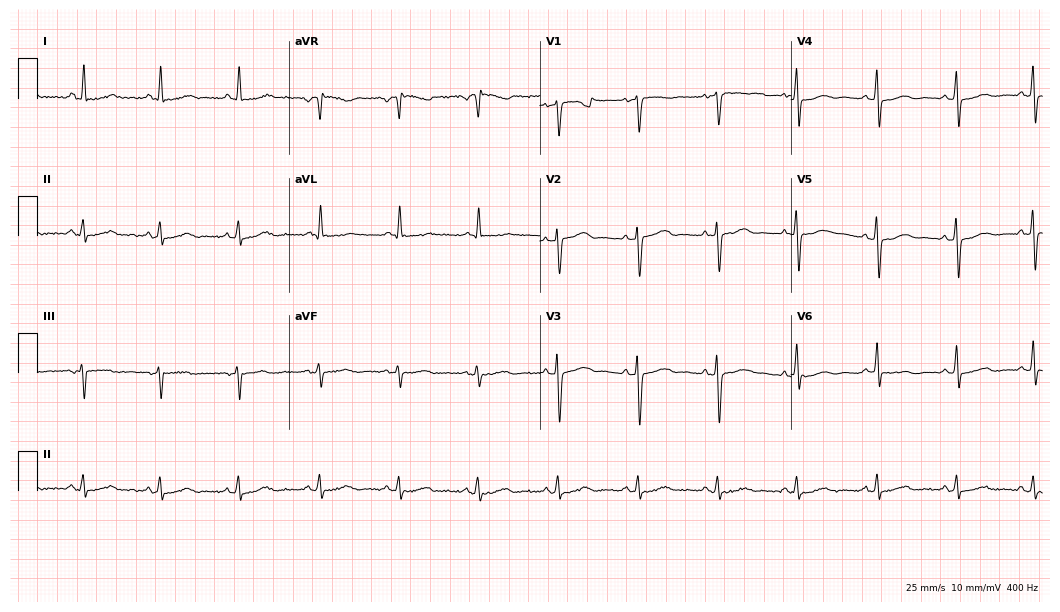
12-lead ECG from a woman, 54 years old (10.2-second recording at 400 Hz). Recorded interpretation: within normal limits.